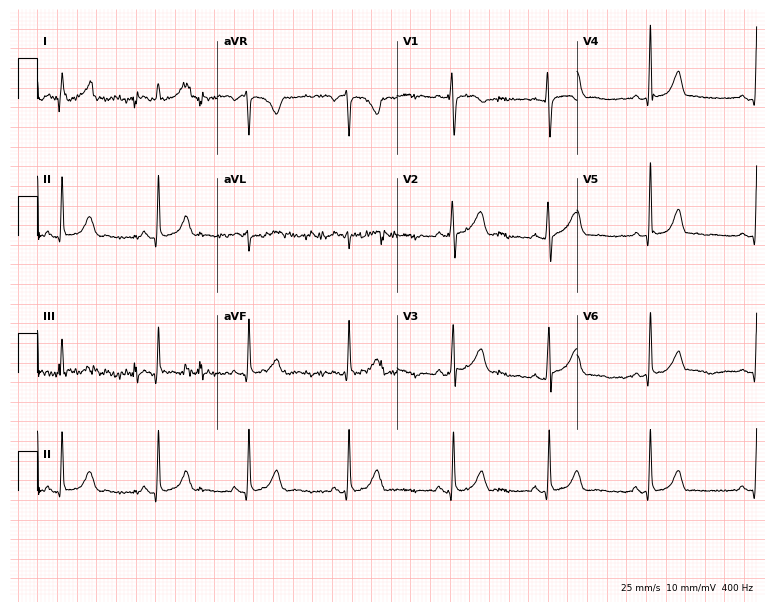
12-lead ECG from a female patient, 24 years old. Labelled as a normal ECG.